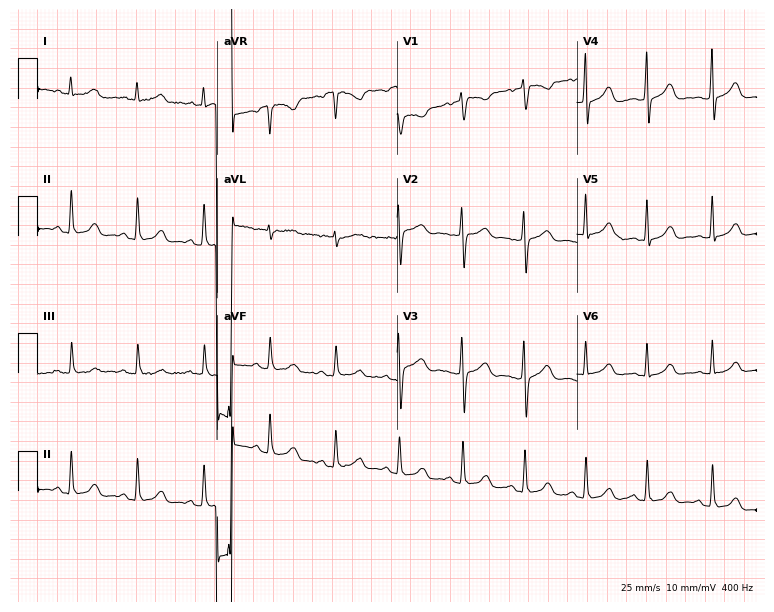
12-lead ECG from a female, 45 years old (7.3-second recording at 400 Hz). No first-degree AV block, right bundle branch block, left bundle branch block, sinus bradycardia, atrial fibrillation or sinus tachycardia recorded for this tracing. Other findings, if any, are not listed.